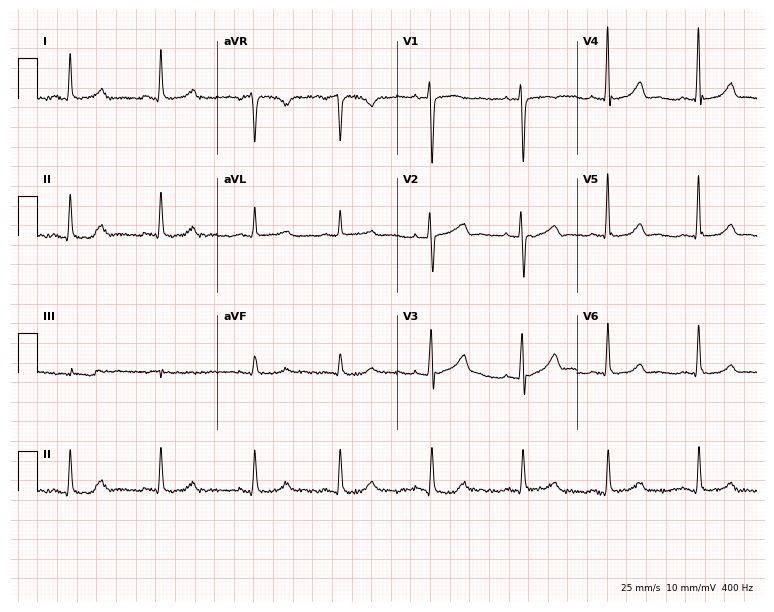
Standard 12-lead ECG recorded from a female patient, 44 years old (7.3-second recording at 400 Hz). None of these six findings is recorded: first-degree AV block, right bundle branch block (RBBB), left bundle branch block (LBBB), sinus bradycardia, atrial fibrillation (AF), sinus tachycardia.